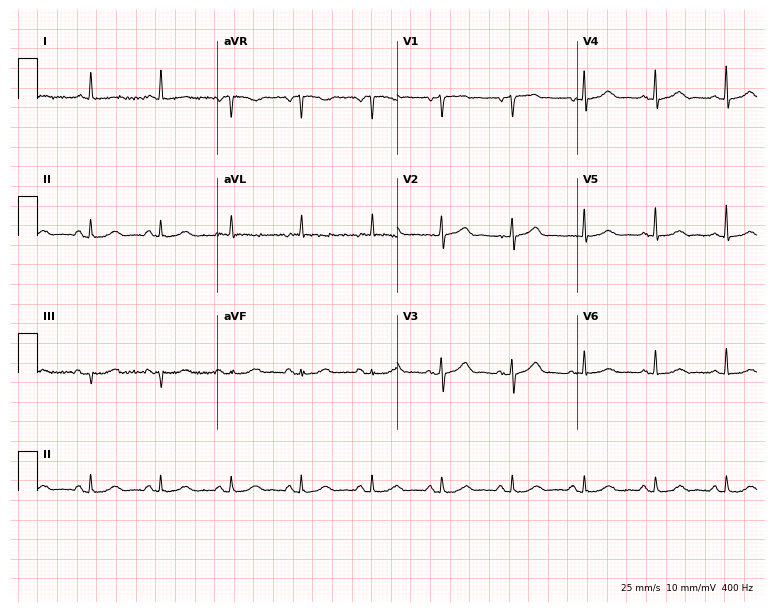
Resting 12-lead electrocardiogram (7.3-second recording at 400 Hz). Patient: a 77-year-old woman. Read as a normal ECG.